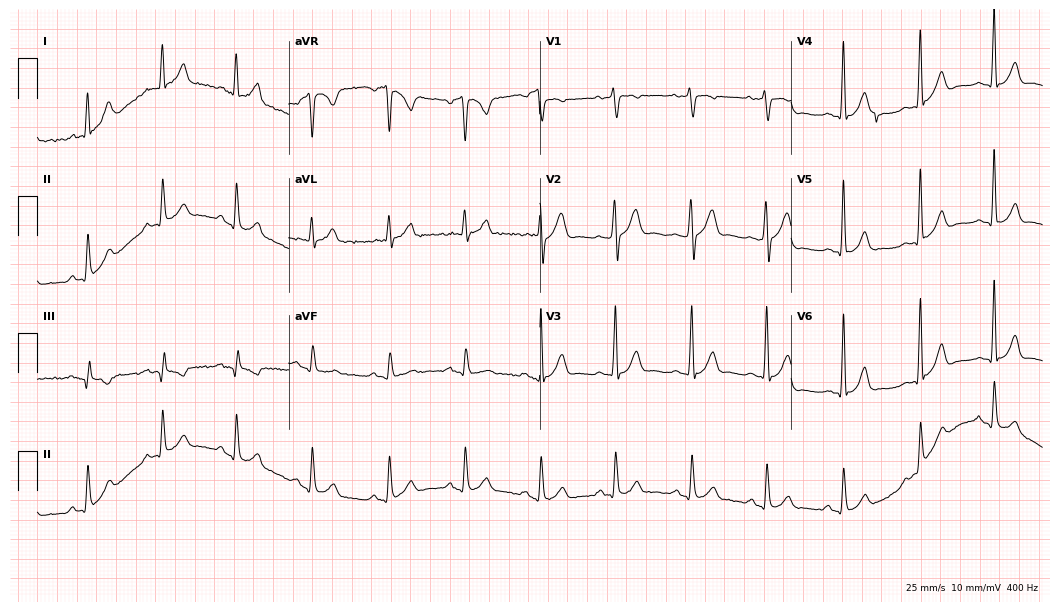
12-lead ECG from a 26-year-old male patient (10.2-second recording at 400 Hz). Recorded interpretation: within normal limits.